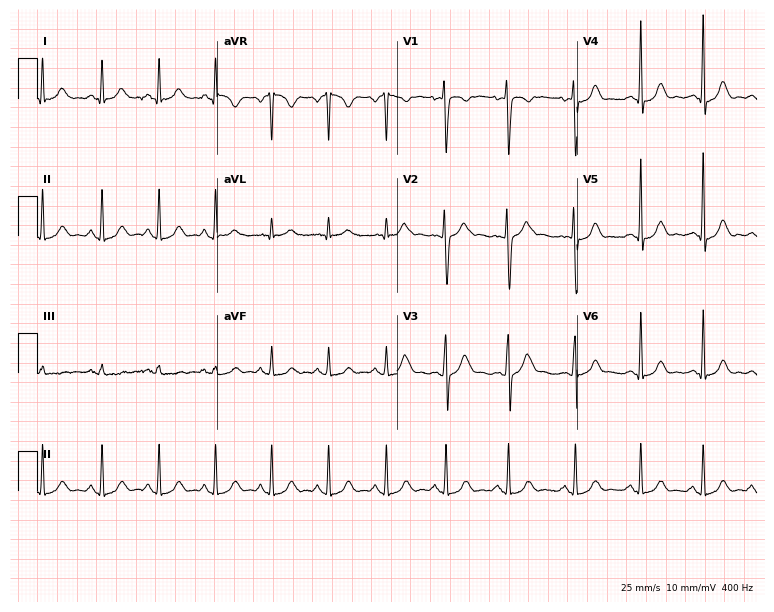
Electrocardiogram, a 24-year-old woman. Of the six screened findings (first-degree AV block, right bundle branch block, left bundle branch block, sinus bradycardia, atrial fibrillation, sinus tachycardia), none is recorded.